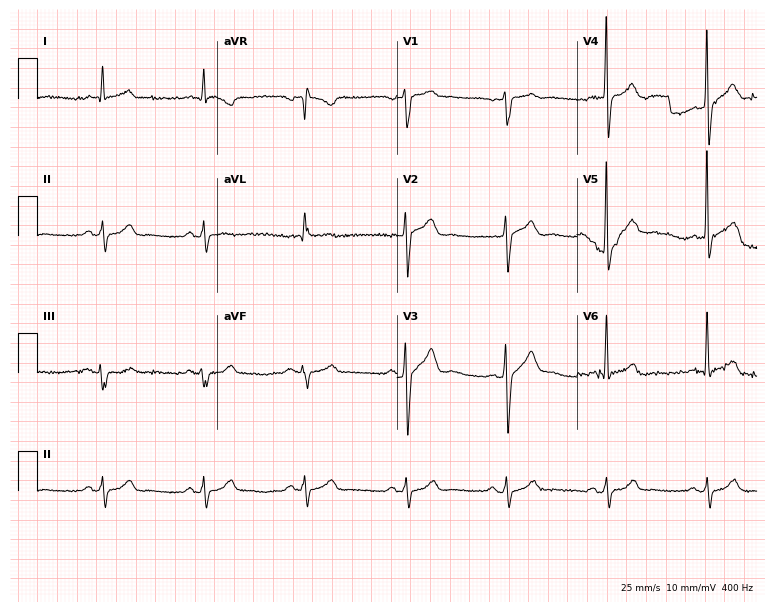
12-lead ECG from a male, 65 years old. Labelled as a normal ECG.